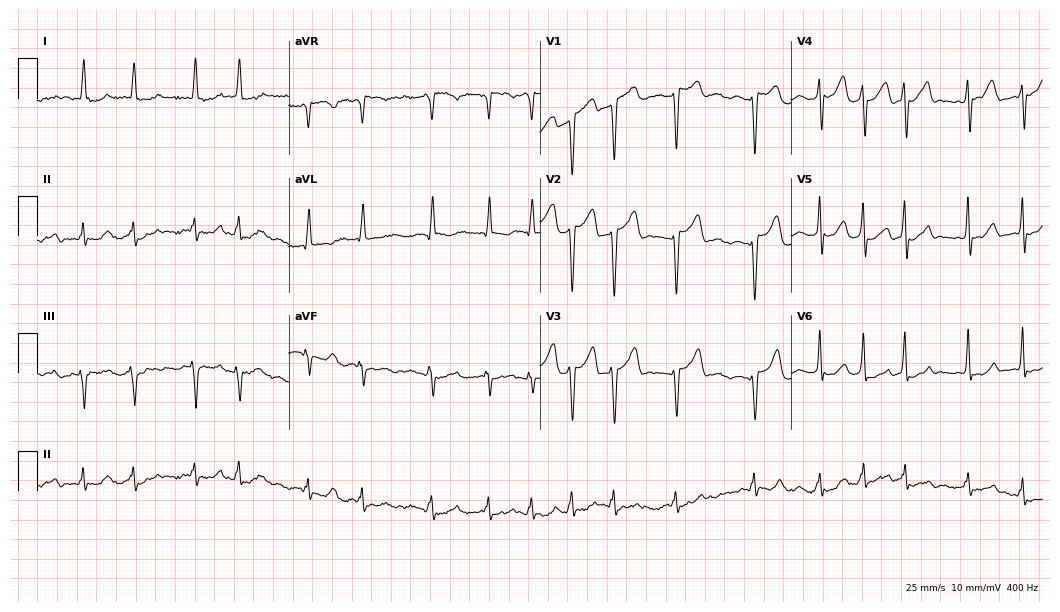
12-lead ECG from an 85-year-old female patient. Shows atrial fibrillation.